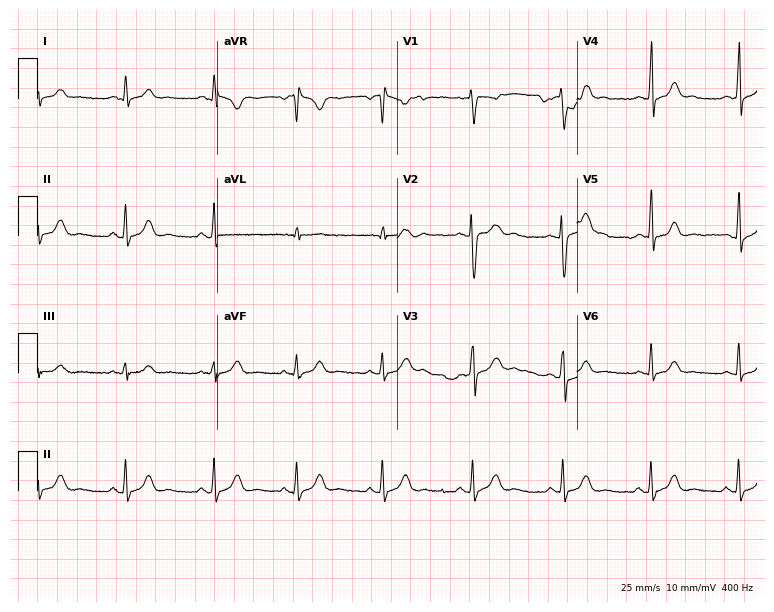
Electrocardiogram (7.3-second recording at 400 Hz), a 19-year-old female patient. Overall reading on record: normal ECG.